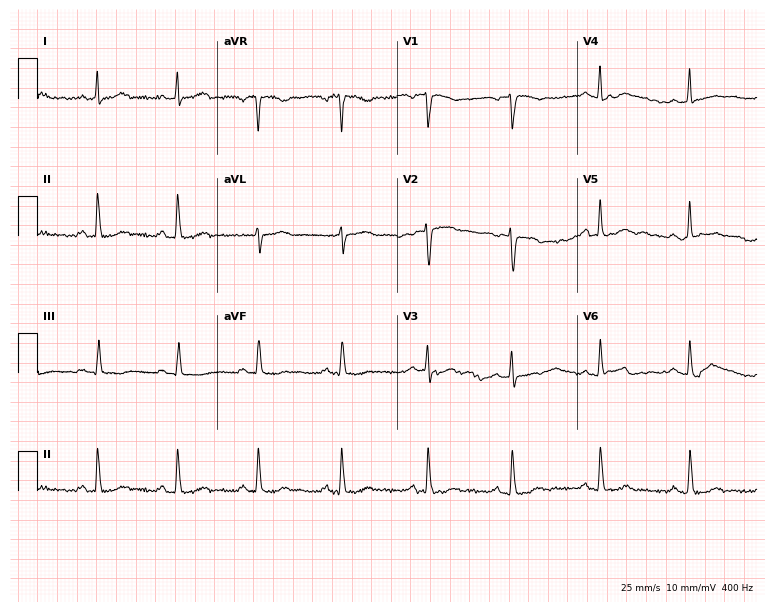
12-lead ECG from a 34-year-old female. No first-degree AV block, right bundle branch block, left bundle branch block, sinus bradycardia, atrial fibrillation or sinus tachycardia recorded for this tracing. Findings outside these six are not listed.